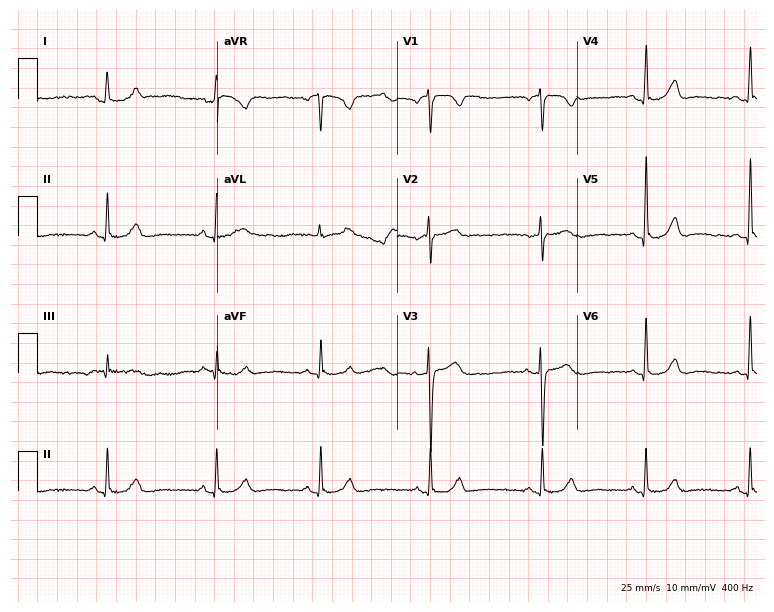
12-lead ECG from a woman, 41 years old. Labelled as a normal ECG.